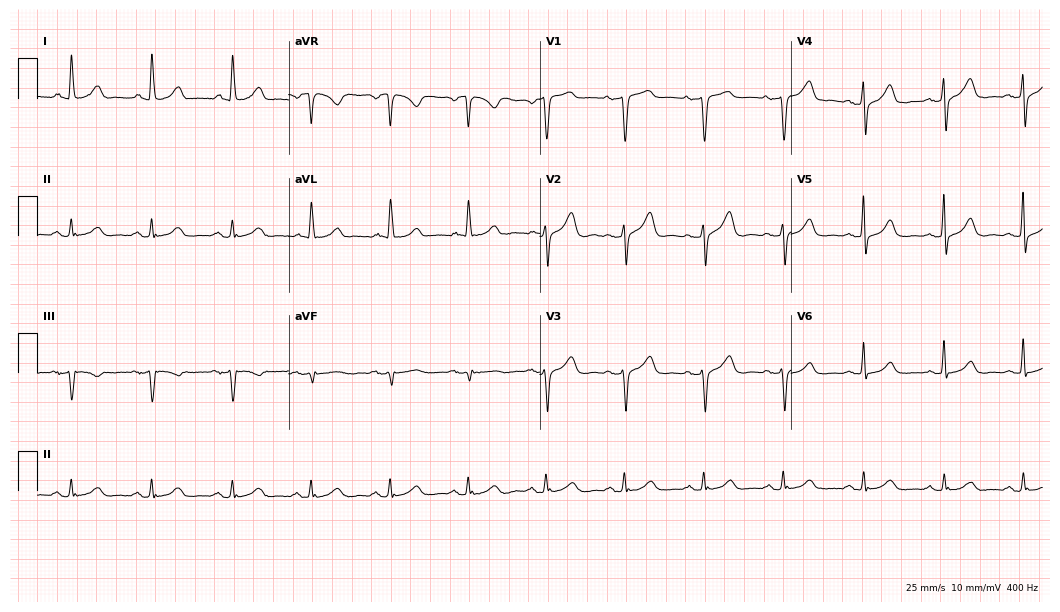
ECG (10.2-second recording at 400 Hz) — a 60-year-old female. Labelled as a normal ECG.